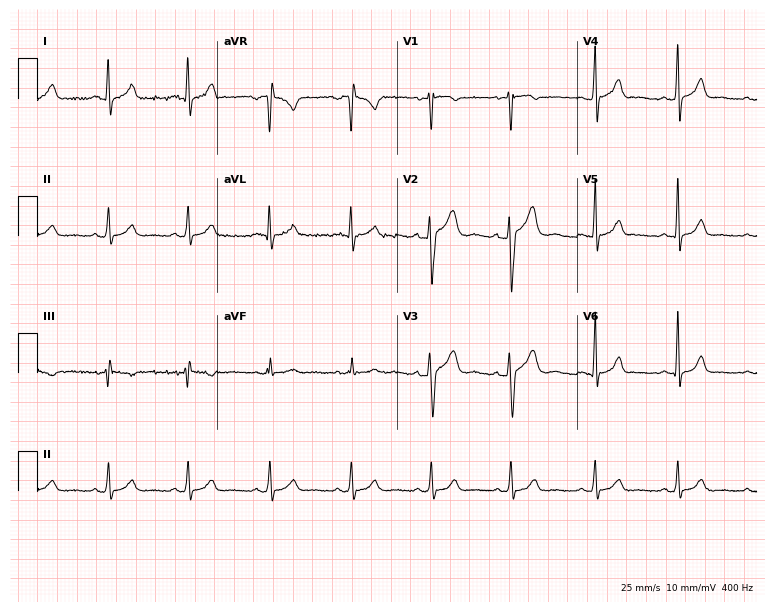
12-lead ECG from a male patient, 24 years old. No first-degree AV block, right bundle branch block (RBBB), left bundle branch block (LBBB), sinus bradycardia, atrial fibrillation (AF) or sinus tachycardia recorded for this tracing. Other findings, if any, are not listed.